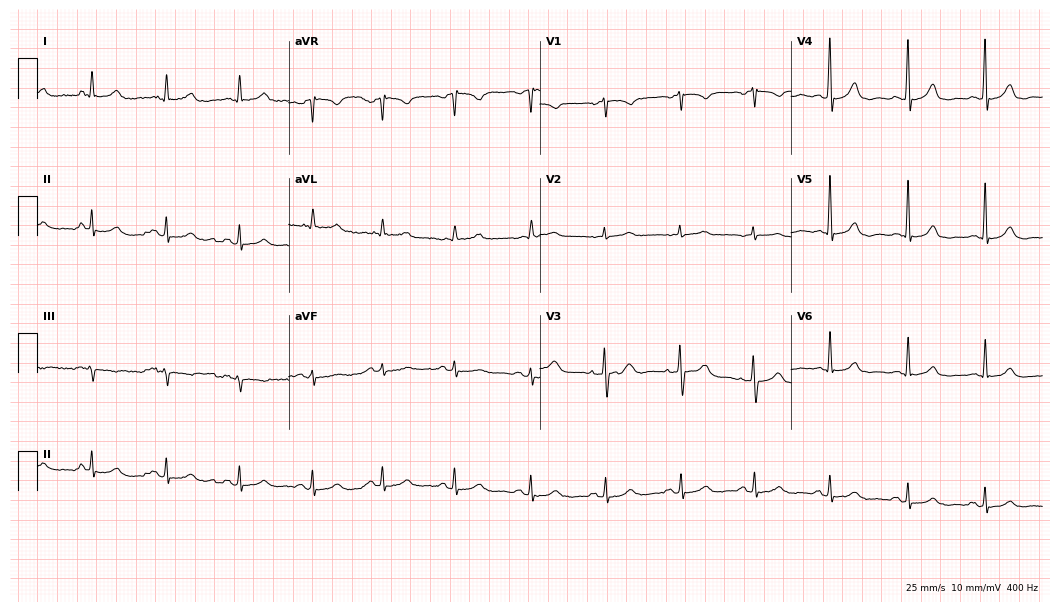
Resting 12-lead electrocardiogram. Patient: a 70-year-old female. None of these six findings is recorded: first-degree AV block, right bundle branch block, left bundle branch block, sinus bradycardia, atrial fibrillation, sinus tachycardia.